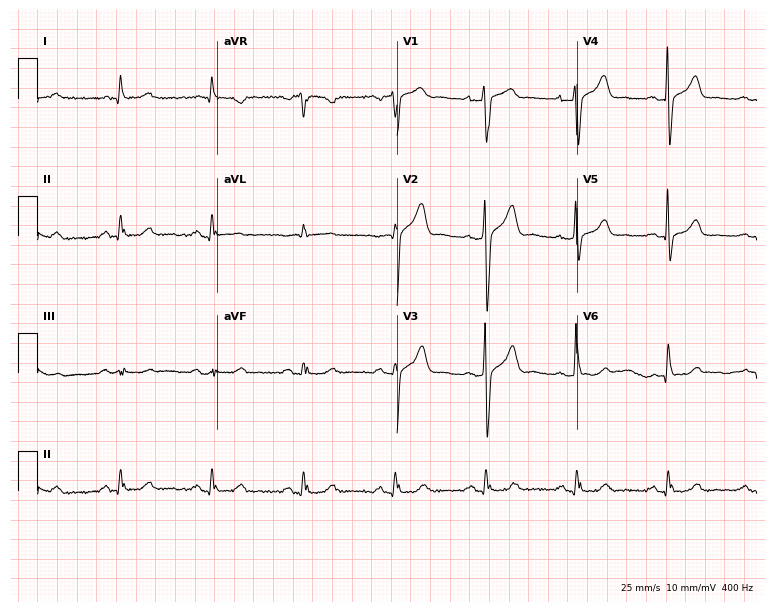
ECG — a 65-year-old man. Screened for six findings — first-degree AV block, right bundle branch block (RBBB), left bundle branch block (LBBB), sinus bradycardia, atrial fibrillation (AF), sinus tachycardia — none is recorded.